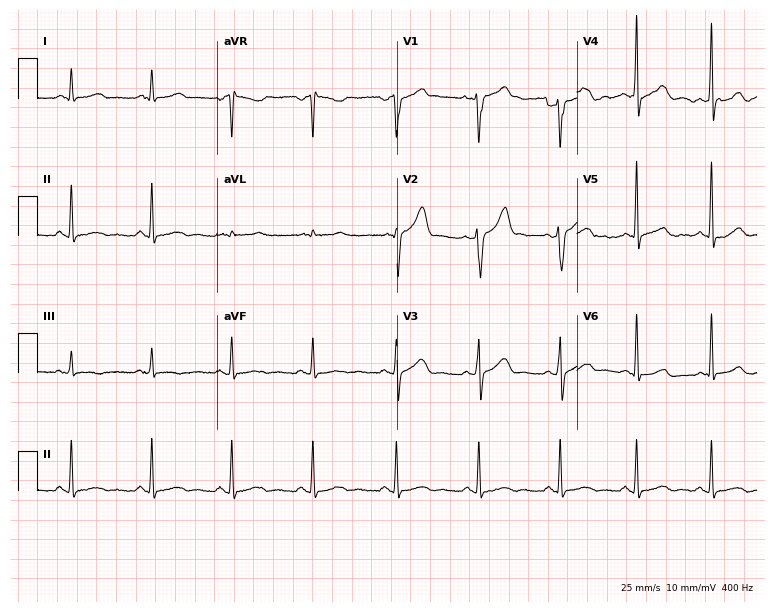
12-lead ECG from a 60-year-old male. No first-degree AV block, right bundle branch block (RBBB), left bundle branch block (LBBB), sinus bradycardia, atrial fibrillation (AF) or sinus tachycardia recorded for this tracing. Findings outside these six are not listed.